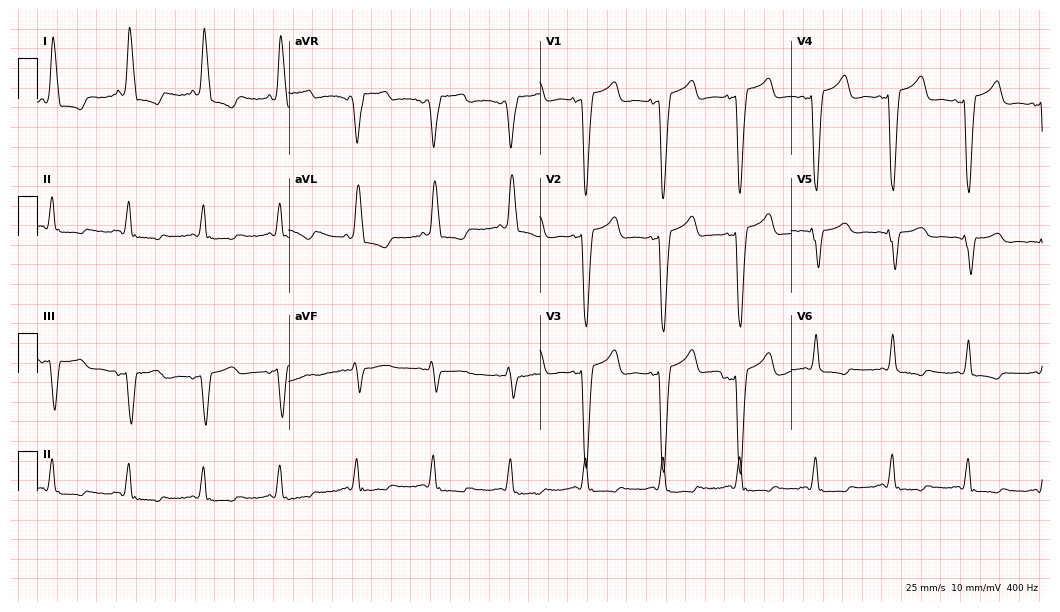
12-lead ECG from a woman, 80 years old. Findings include left bundle branch block (LBBB).